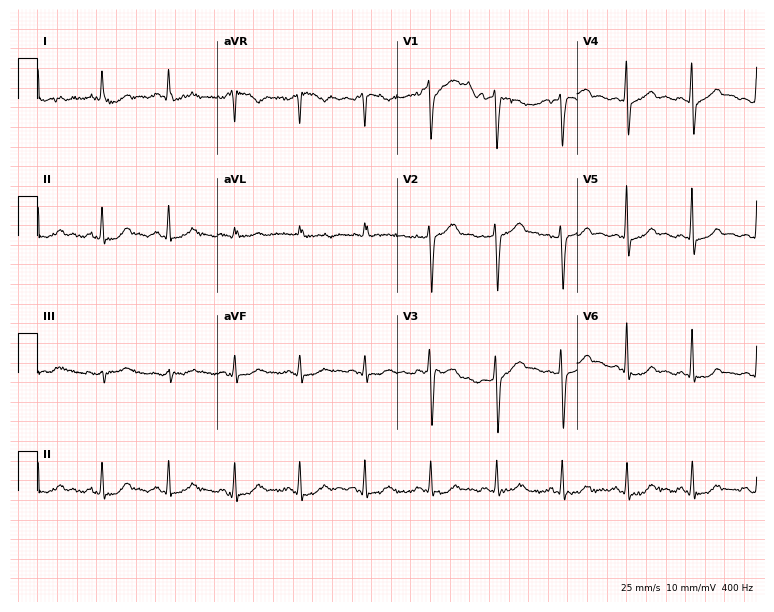
12-lead ECG from a 59-year-old male (7.3-second recording at 400 Hz). Recorded interpretation: within normal limits.